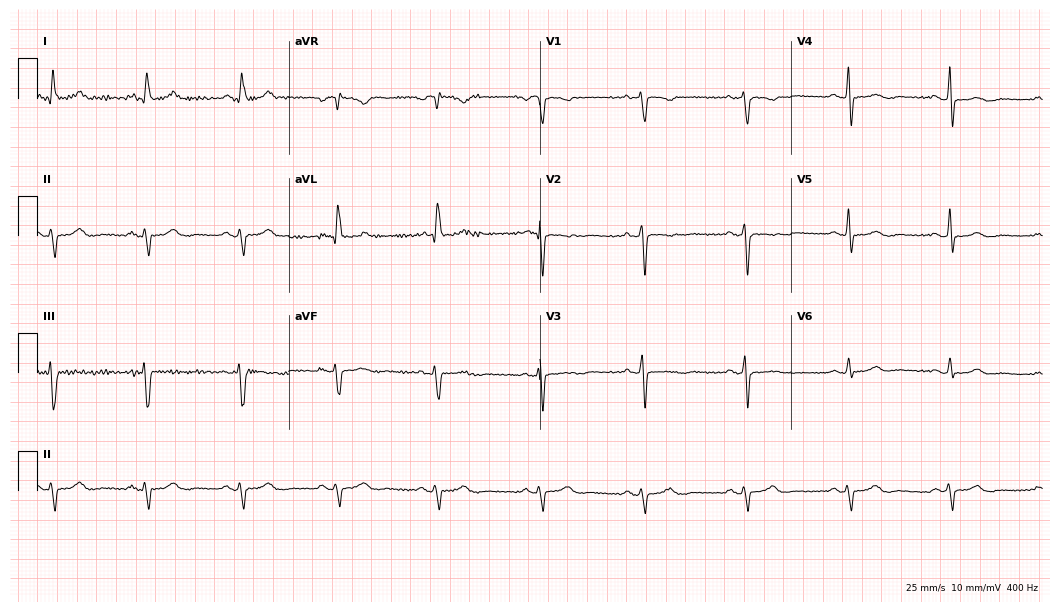
ECG (10.2-second recording at 400 Hz) — a 69-year-old woman. Screened for six findings — first-degree AV block, right bundle branch block (RBBB), left bundle branch block (LBBB), sinus bradycardia, atrial fibrillation (AF), sinus tachycardia — none is recorded.